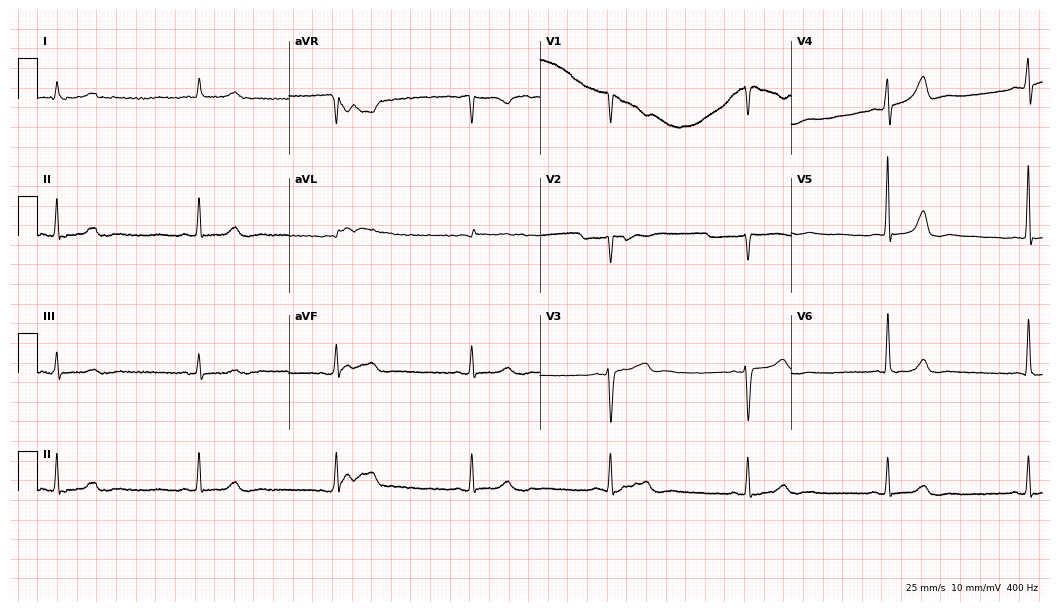
ECG — a female, 84 years old. Screened for six findings — first-degree AV block, right bundle branch block (RBBB), left bundle branch block (LBBB), sinus bradycardia, atrial fibrillation (AF), sinus tachycardia — none is recorded. Findings outside these six are not listed.